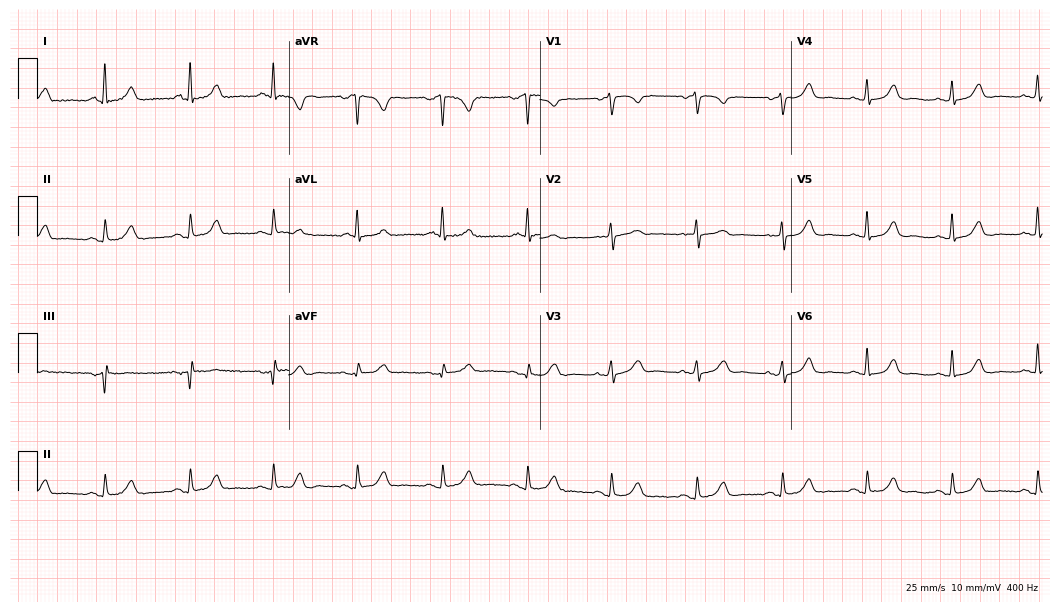
12-lead ECG from a female patient, 67 years old (10.2-second recording at 400 Hz). Recorded interpretation: within normal limits.